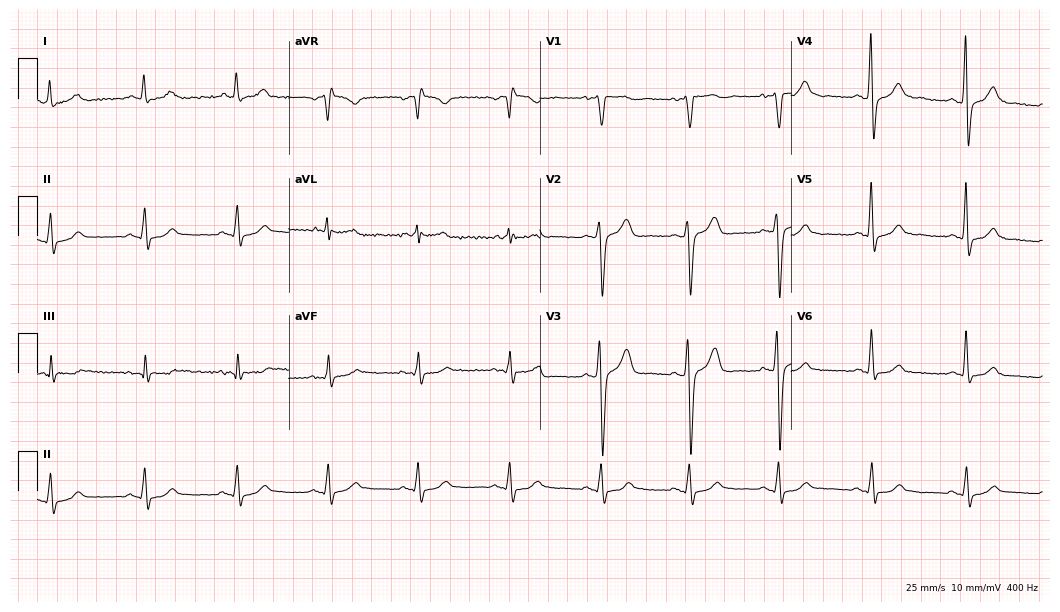
Standard 12-lead ECG recorded from a 46-year-old male patient (10.2-second recording at 400 Hz). None of these six findings is recorded: first-degree AV block, right bundle branch block, left bundle branch block, sinus bradycardia, atrial fibrillation, sinus tachycardia. Findings outside these six are not listed.